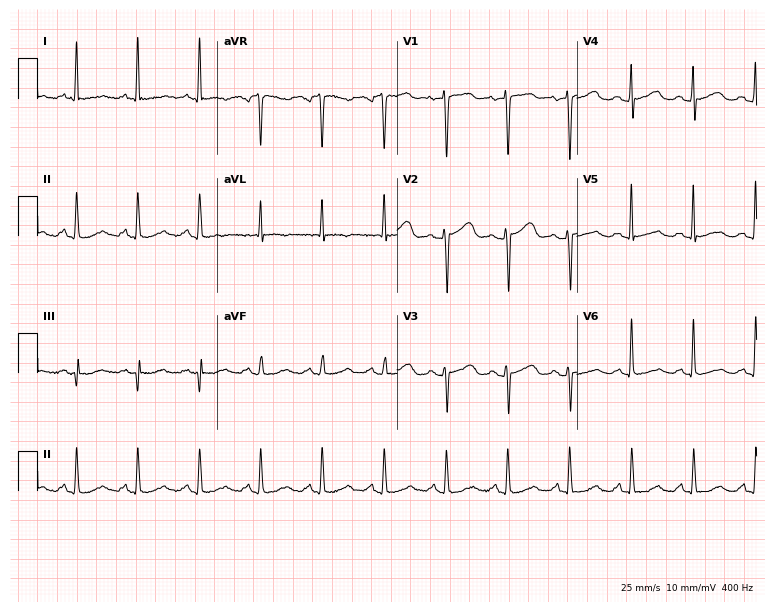
Resting 12-lead electrocardiogram. Patient: a female, 57 years old. None of these six findings is recorded: first-degree AV block, right bundle branch block, left bundle branch block, sinus bradycardia, atrial fibrillation, sinus tachycardia. Findings outside these six are not listed.